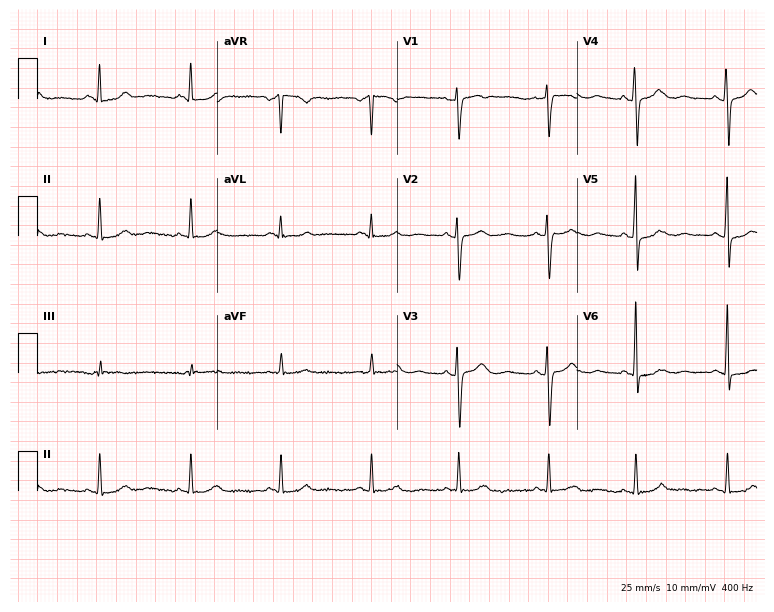
12-lead ECG (7.3-second recording at 400 Hz) from a woman, 43 years old. Labelled as a normal ECG.